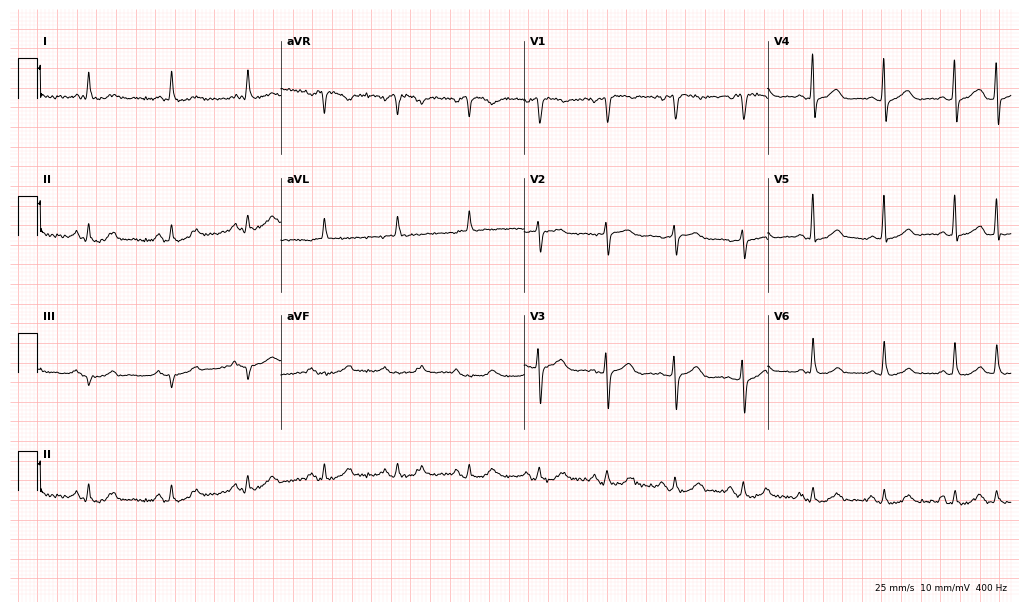
Electrocardiogram (9.9-second recording at 400 Hz), a 78-year-old female. Overall reading on record: normal ECG.